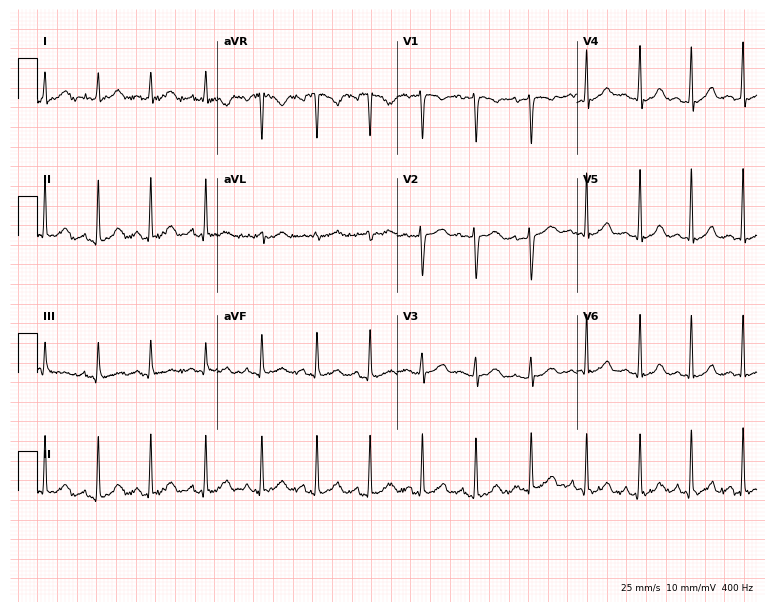
Resting 12-lead electrocardiogram (7.3-second recording at 400 Hz). Patient: a 23-year-old female. The tracing shows sinus tachycardia (a sinus rate of 100 beats per minute or more).